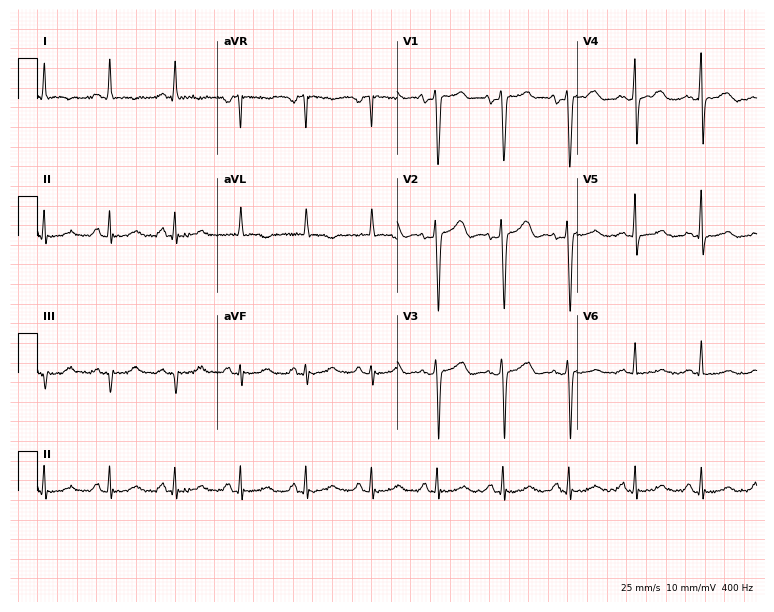
Standard 12-lead ECG recorded from a 55-year-old male (7.3-second recording at 400 Hz). None of these six findings is recorded: first-degree AV block, right bundle branch block, left bundle branch block, sinus bradycardia, atrial fibrillation, sinus tachycardia.